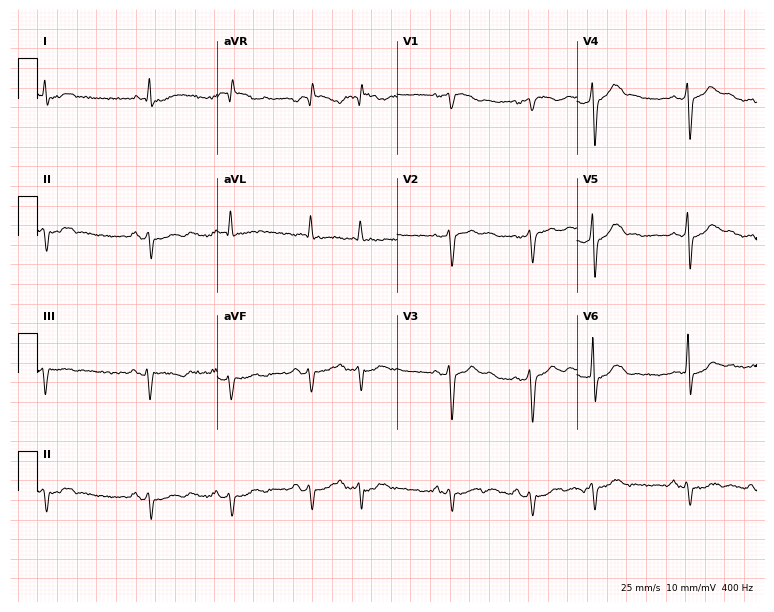
12-lead ECG (7.3-second recording at 400 Hz) from a 72-year-old male patient. Screened for six findings — first-degree AV block, right bundle branch block, left bundle branch block, sinus bradycardia, atrial fibrillation, sinus tachycardia — none is recorded.